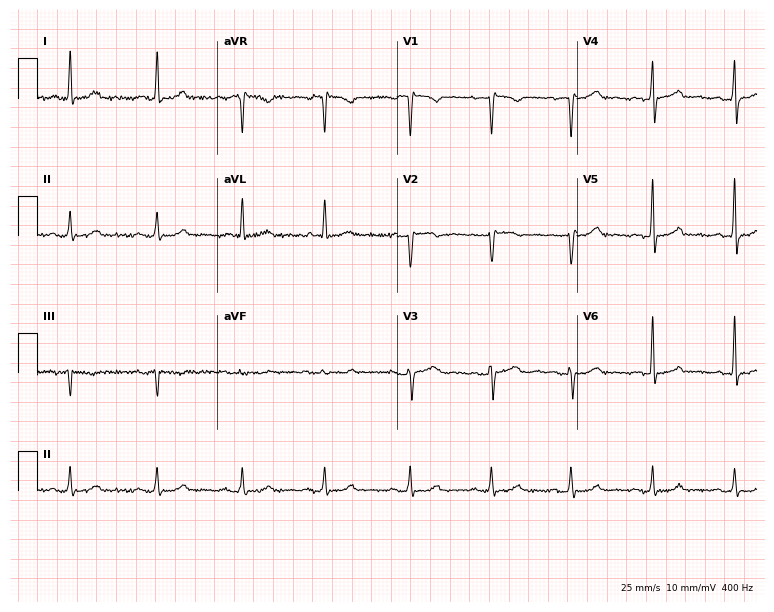
Electrocardiogram, a 43-year-old female. Of the six screened findings (first-degree AV block, right bundle branch block (RBBB), left bundle branch block (LBBB), sinus bradycardia, atrial fibrillation (AF), sinus tachycardia), none is recorded. Other findings, if any, are not listed.